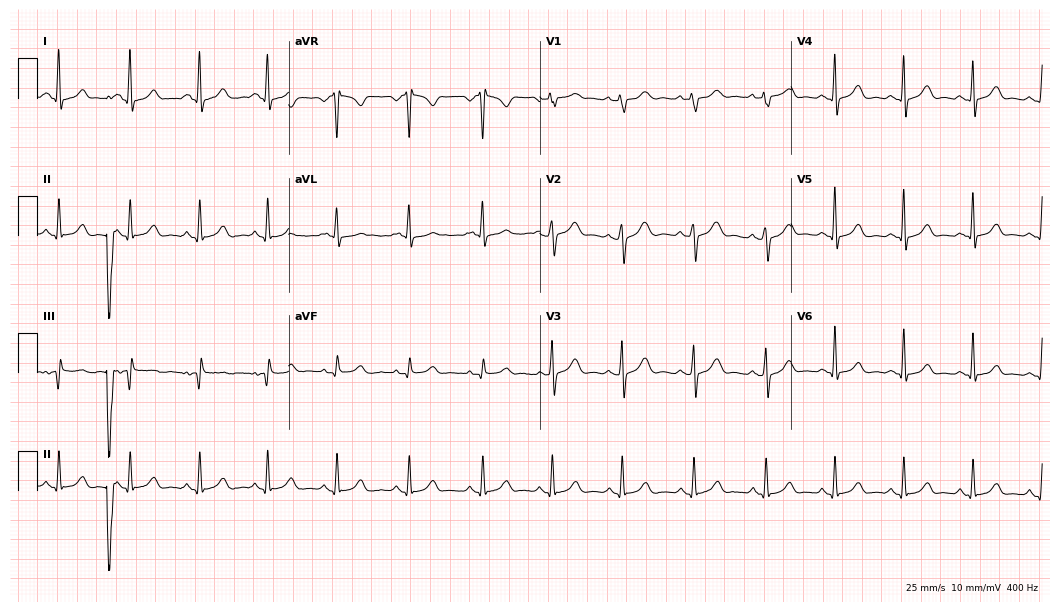
ECG — a female patient, 25 years old. Labelled as a normal ECG.